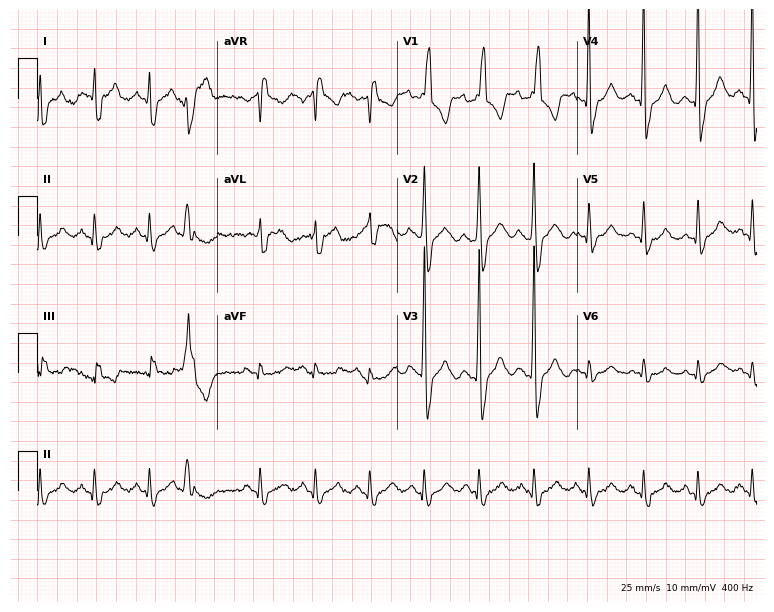
Resting 12-lead electrocardiogram. Patient: a 74-year-old male. The tracing shows right bundle branch block, sinus tachycardia (a sinus rate of 100 beats per minute or more).